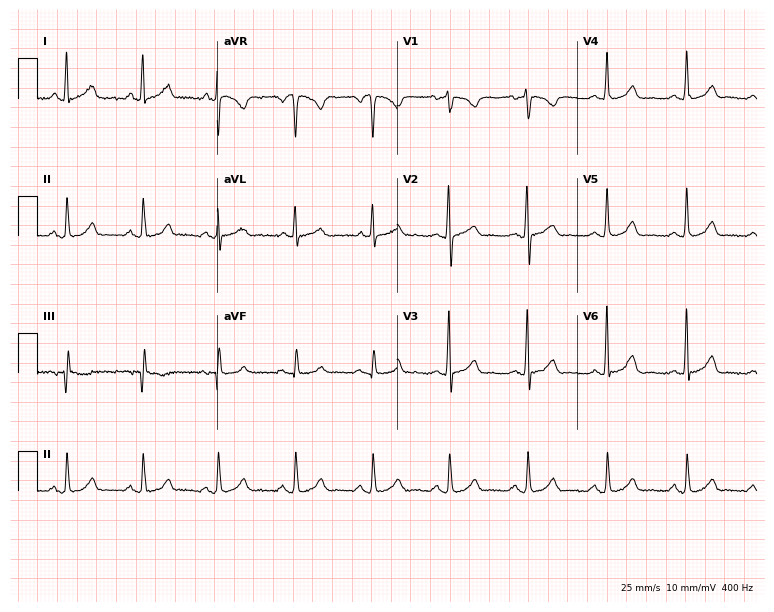
Resting 12-lead electrocardiogram. Patient: a woman, 57 years old. Read as a normal ECG.